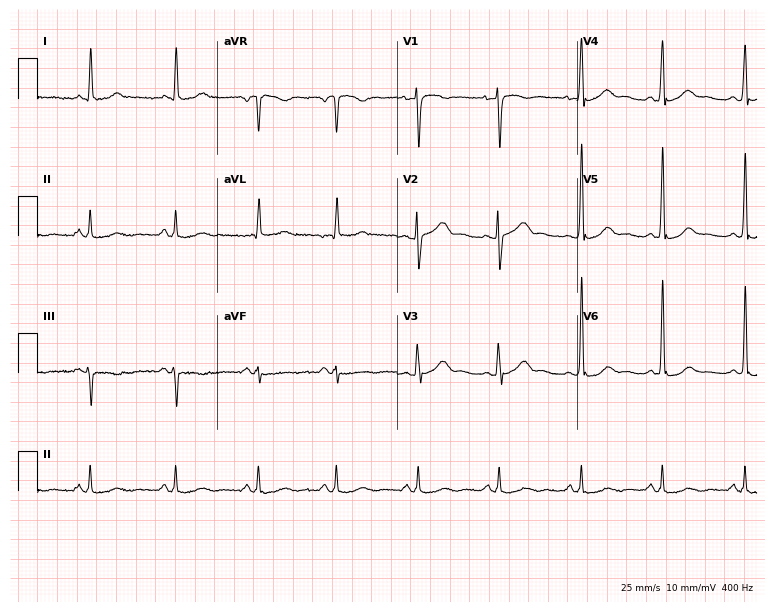
12-lead ECG (7.3-second recording at 400 Hz) from a male, 55 years old. Labelled as a normal ECG.